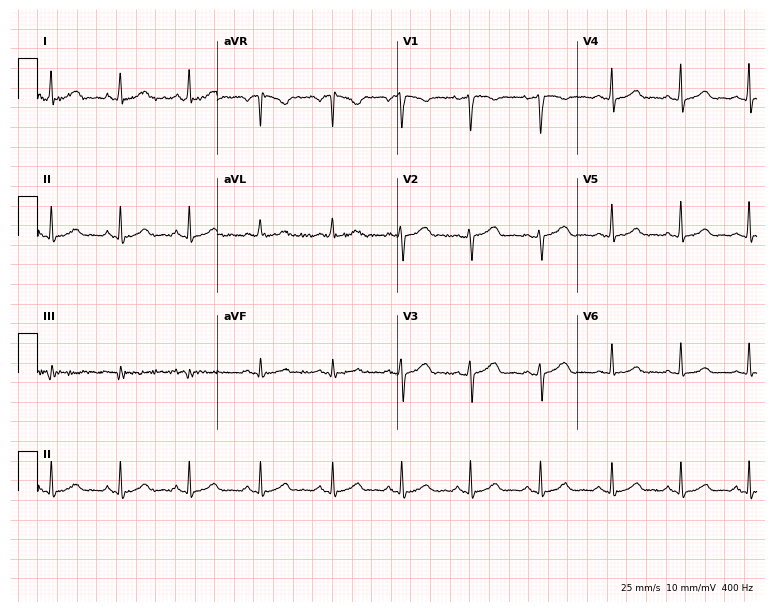
Resting 12-lead electrocardiogram (7.3-second recording at 400 Hz). Patient: a female, 30 years old. Read as a normal ECG.